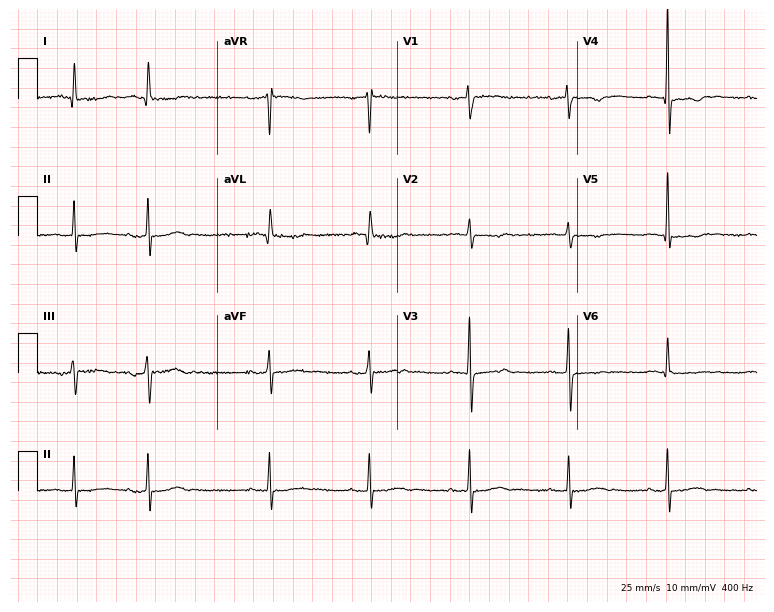
12-lead ECG (7.3-second recording at 400 Hz) from a woman, 80 years old. Screened for six findings — first-degree AV block, right bundle branch block, left bundle branch block, sinus bradycardia, atrial fibrillation, sinus tachycardia — none is recorded. Findings outside these six are not listed.